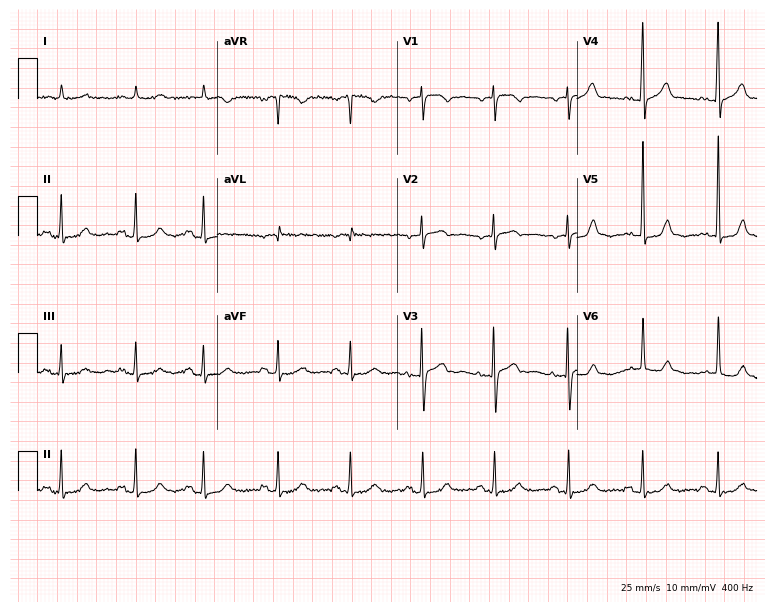
Resting 12-lead electrocardiogram (7.3-second recording at 400 Hz). Patient: a woman, 85 years old. Read as a normal ECG.